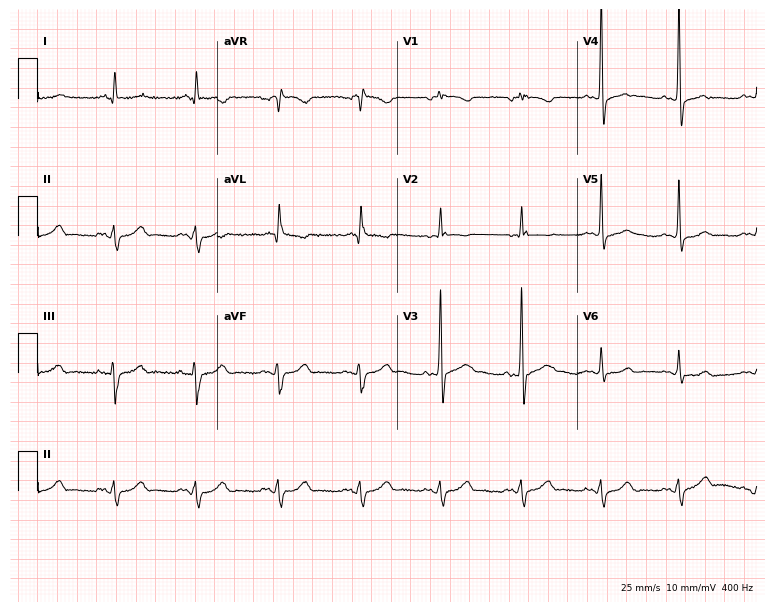
Standard 12-lead ECG recorded from a male patient, 72 years old. None of these six findings is recorded: first-degree AV block, right bundle branch block, left bundle branch block, sinus bradycardia, atrial fibrillation, sinus tachycardia. Other findings, if any, are not listed.